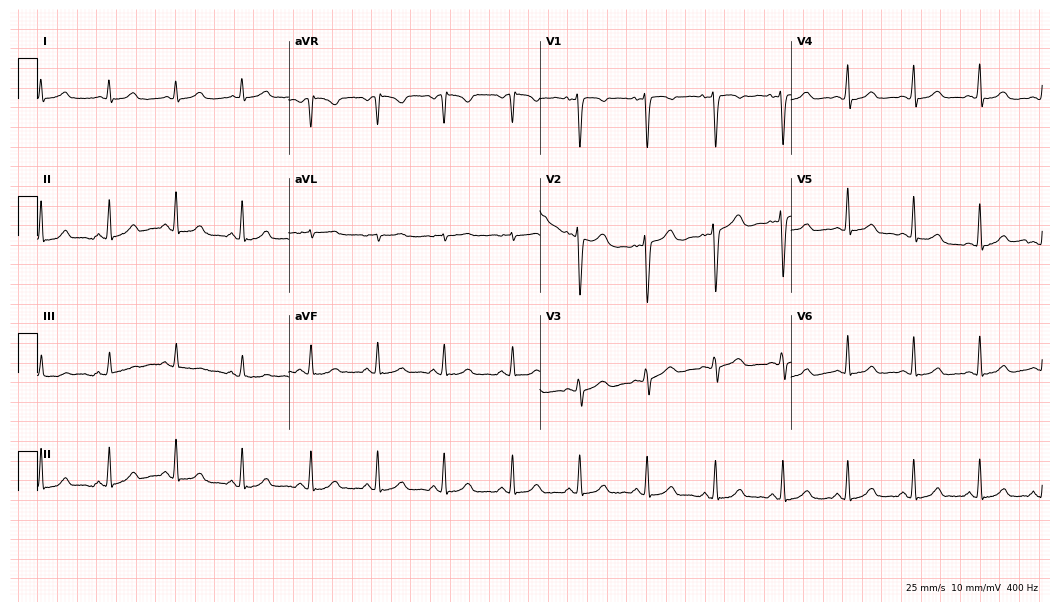
12-lead ECG from a female patient, 40 years old. Labelled as a normal ECG.